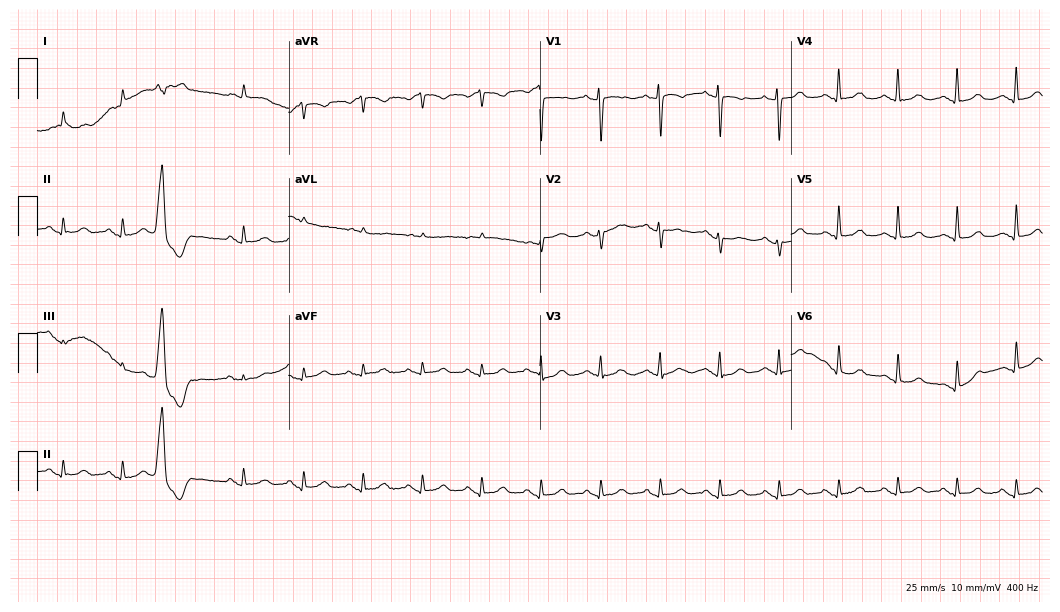
Electrocardiogram (10.2-second recording at 400 Hz), a female patient, 85 years old. Overall reading on record: normal ECG.